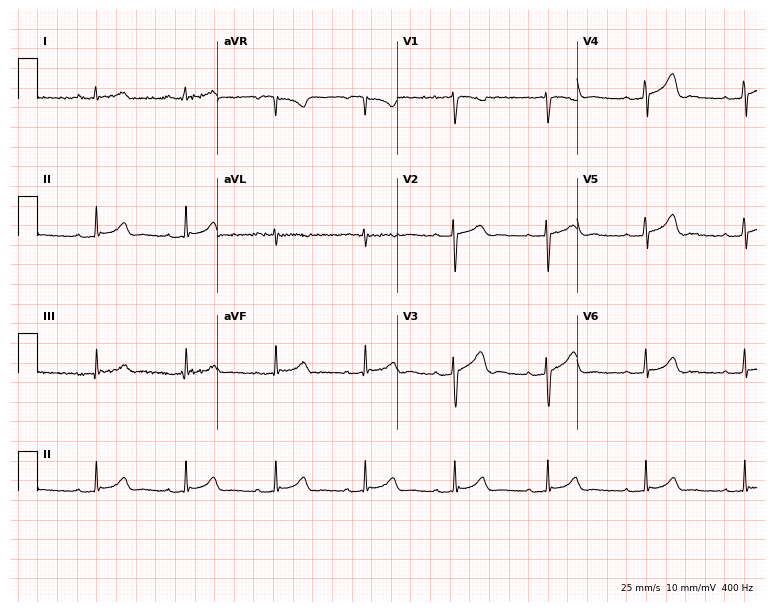
Standard 12-lead ECG recorded from a woman, 28 years old. Read as a normal ECG.